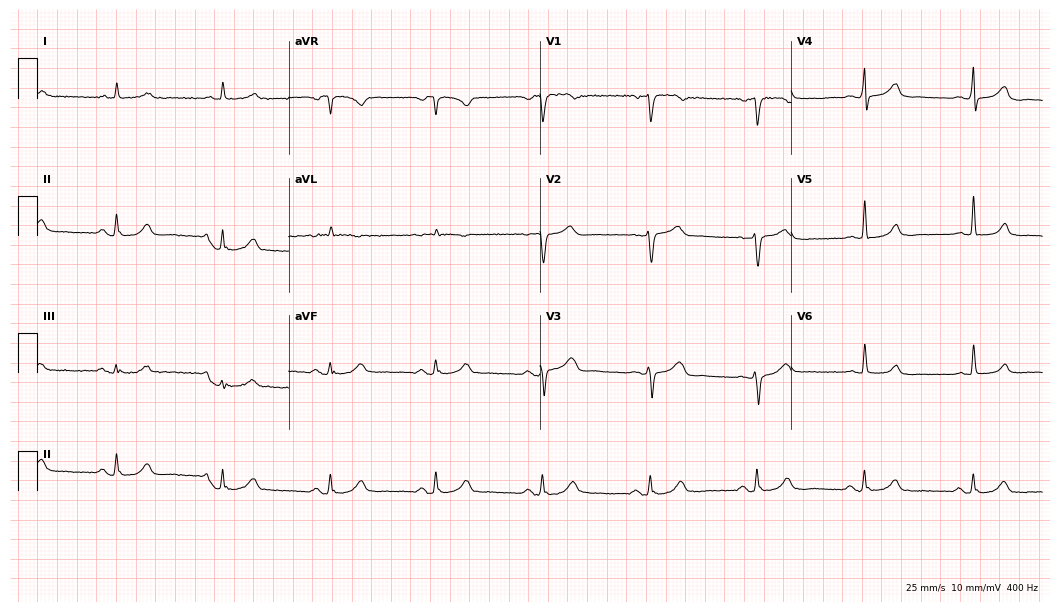
12-lead ECG from a 68-year-old man. Screened for six findings — first-degree AV block, right bundle branch block, left bundle branch block, sinus bradycardia, atrial fibrillation, sinus tachycardia — none is recorded. Findings outside these six are not listed.